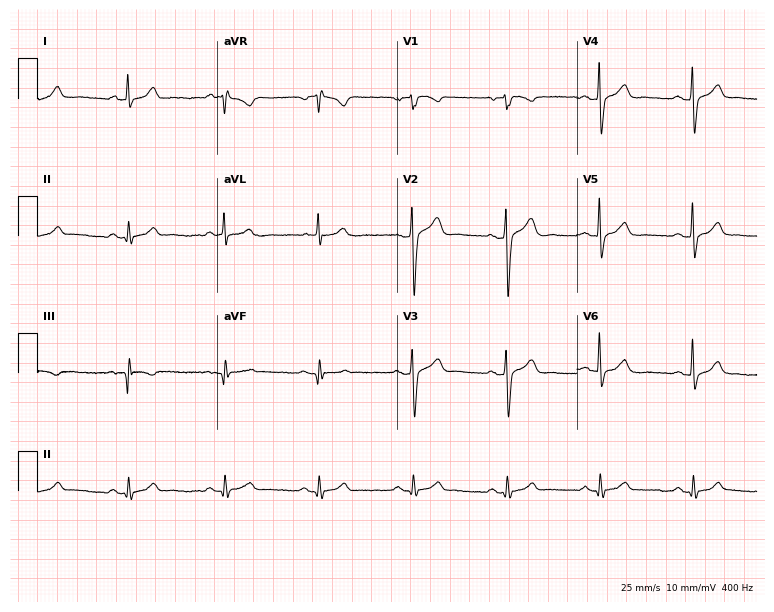
12-lead ECG from a 59-year-old male (7.3-second recording at 400 Hz). Recorded interpretation: within normal limits.